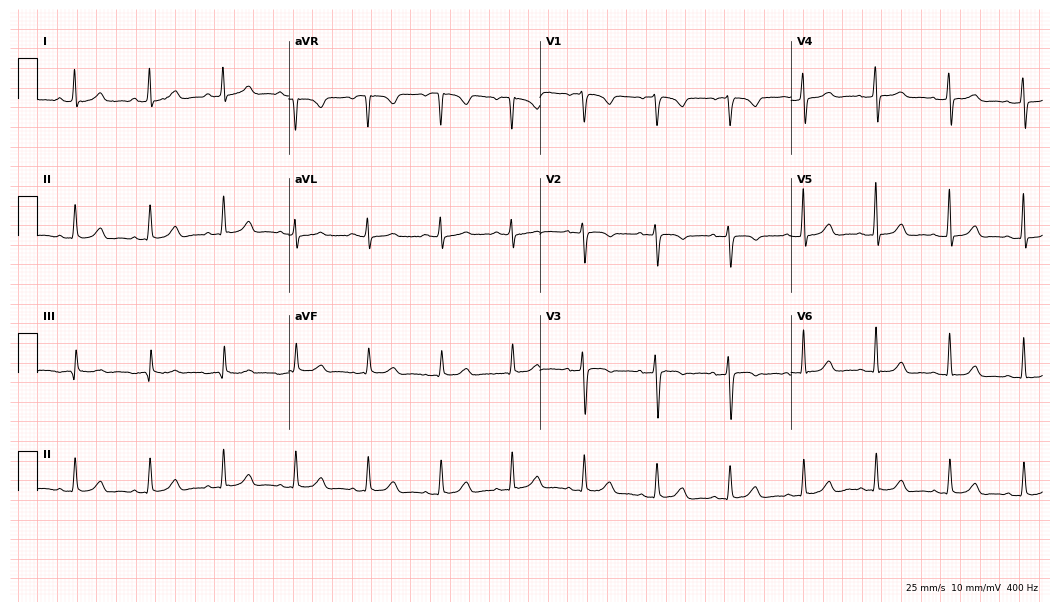
12-lead ECG from a 46-year-old woman. No first-degree AV block, right bundle branch block (RBBB), left bundle branch block (LBBB), sinus bradycardia, atrial fibrillation (AF) or sinus tachycardia recorded for this tracing. Findings outside these six are not listed.